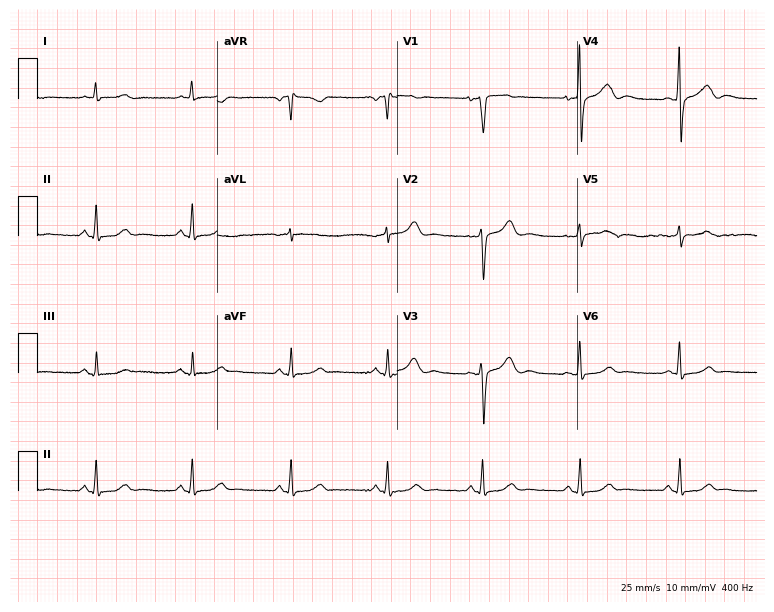
Standard 12-lead ECG recorded from a 54-year-old female (7.3-second recording at 400 Hz). Read as a normal ECG.